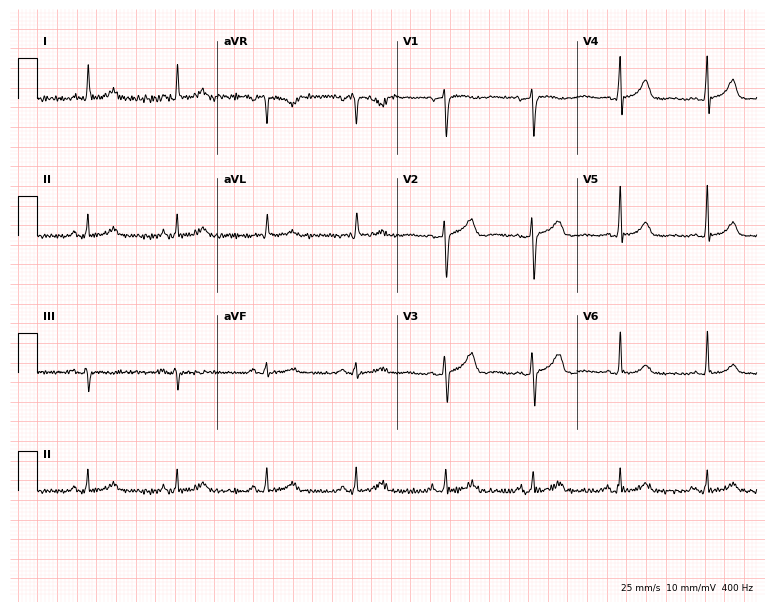
Resting 12-lead electrocardiogram. Patient: a 56-year-old female. Read as a normal ECG.